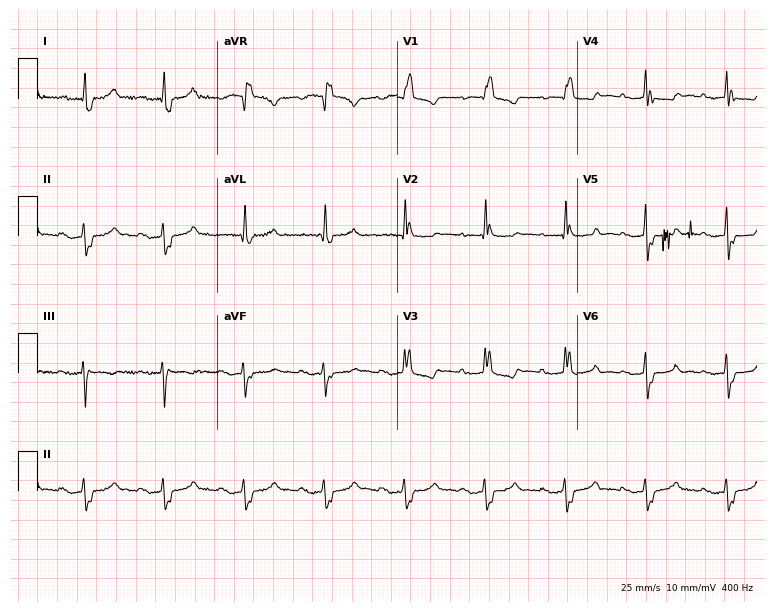
12-lead ECG from a 72-year-old female. Findings include first-degree AV block, right bundle branch block.